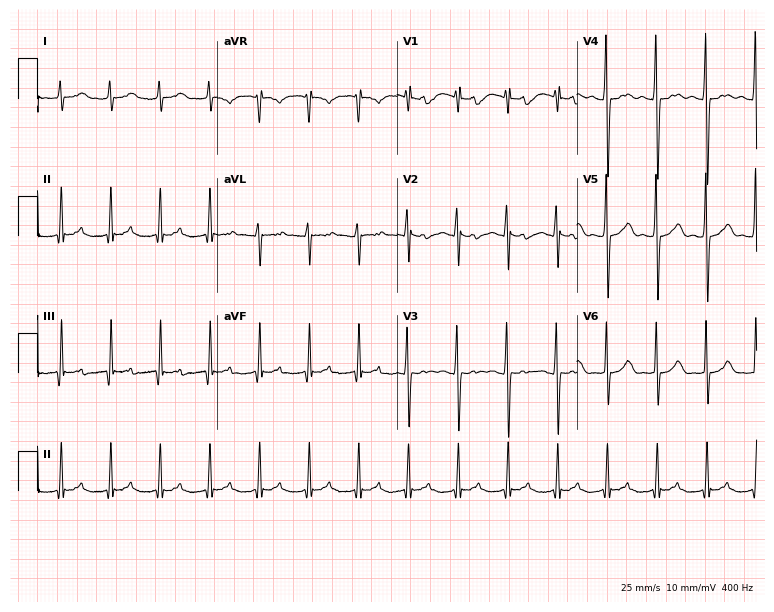
ECG — a female, 35 years old. Screened for six findings — first-degree AV block, right bundle branch block (RBBB), left bundle branch block (LBBB), sinus bradycardia, atrial fibrillation (AF), sinus tachycardia — none is recorded. Findings outside these six are not listed.